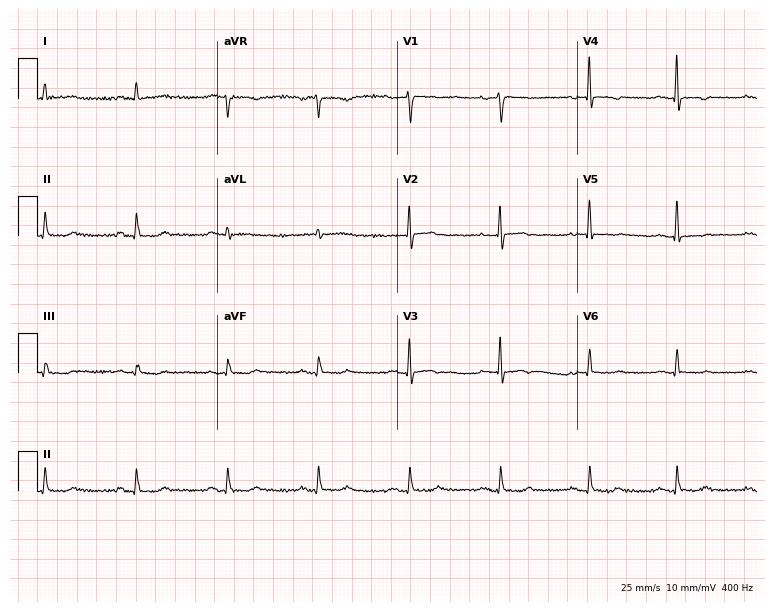
Standard 12-lead ECG recorded from a 74-year-old woman (7.3-second recording at 400 Hz). None of these six findings is recorded: first-degree AV block, right bundle branch block, left bundle branch block, sinus bradycardia, atrial fibrillation, sinus tachycardia. Findings outside these six are not listed.